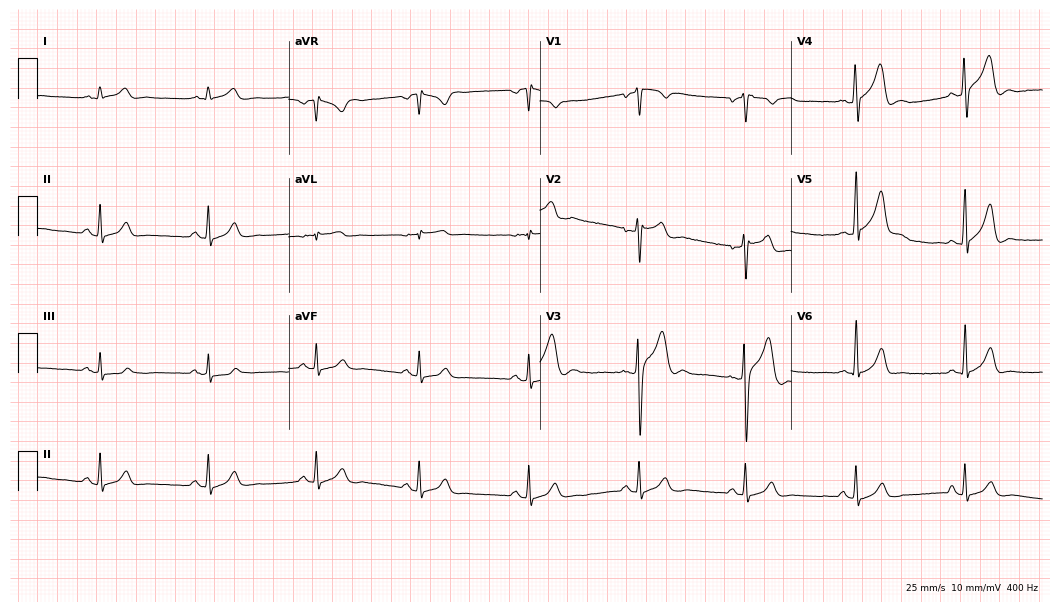
12-lead ECG from a man, 33 years old. No first-degree AV block, right bundle branch block (RBBB), left bundle branch block (LBBB), sinus bradycardia, atrial fibrillation (AF) or sinus tachycardia recorded for this tracing.